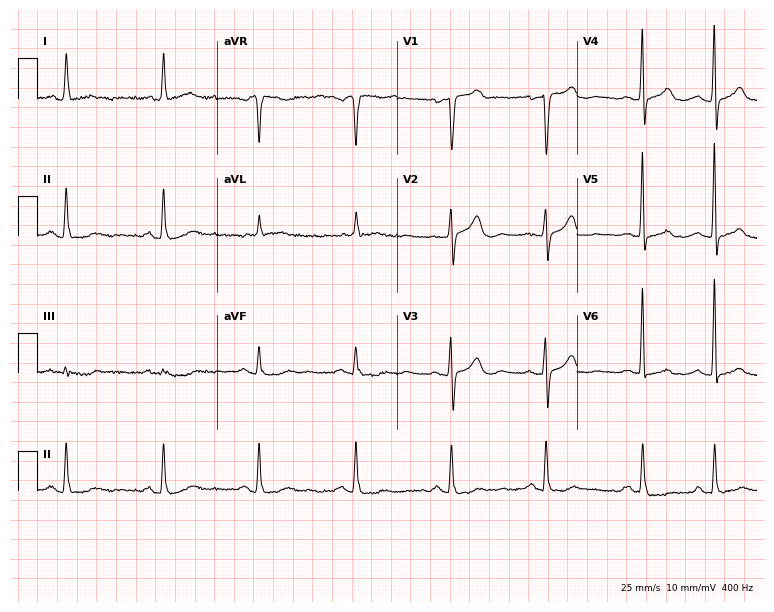
ECG — a 78-year-old female patient. Labelled as a normal ECG.